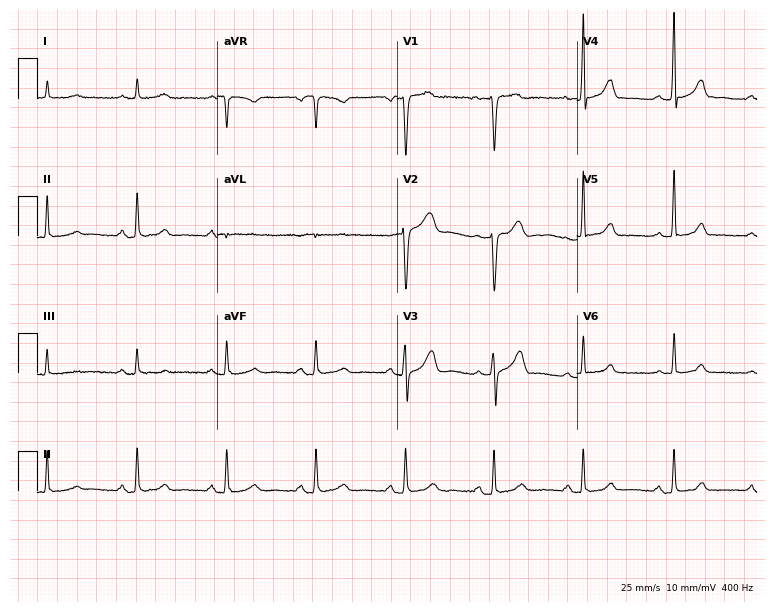
Standard 12-lead ECG recorded from a 59-year-old male (7.3-second recording at 400 Hz). Read as a normal ECG.